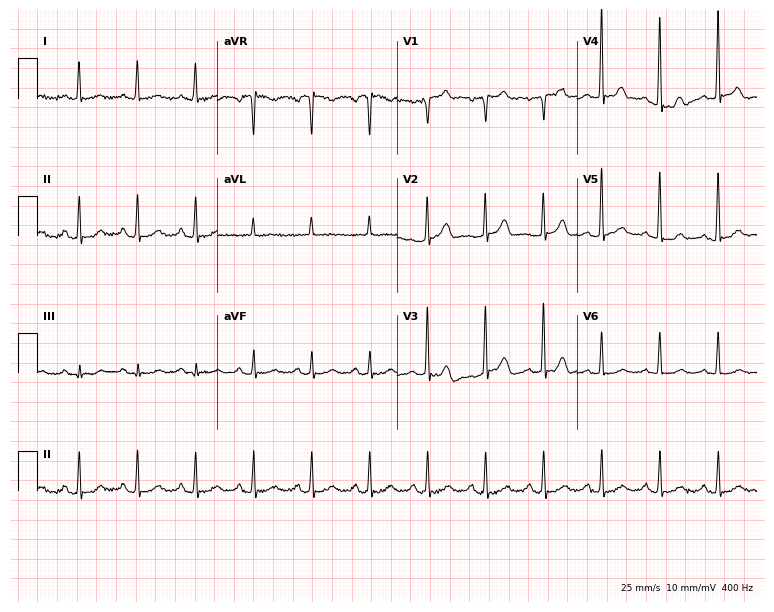
Electrocardiogram (7.3-second recording at 400 Hz), a 72-year-old man. Interpretation includes sinus tachycardia (a sinus rate of 100 beats per minute or more).